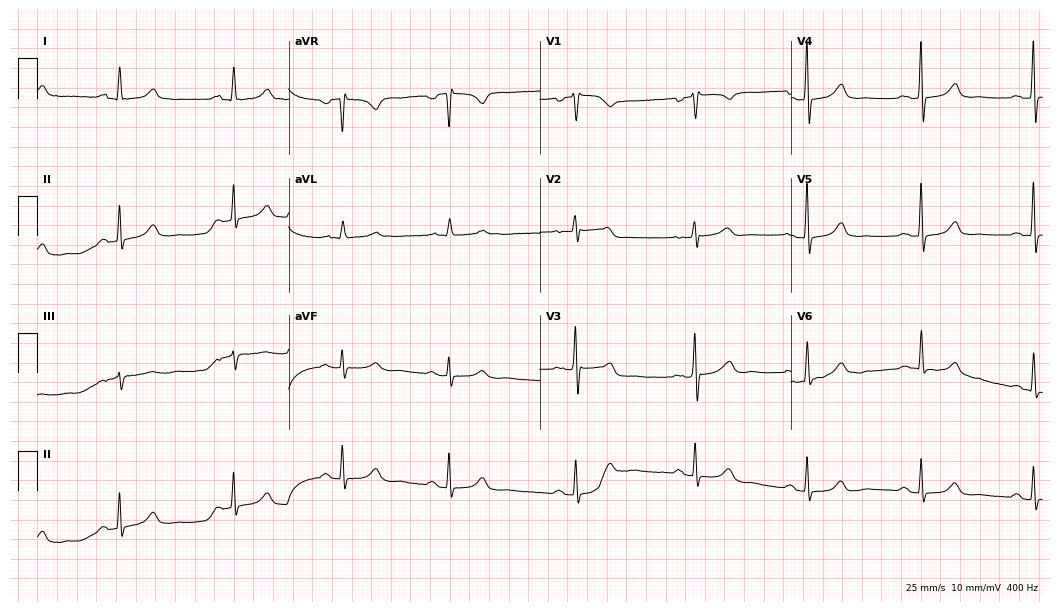
12-lead ECG from a 58-year-old female patient. Labelled as a normal ECG.